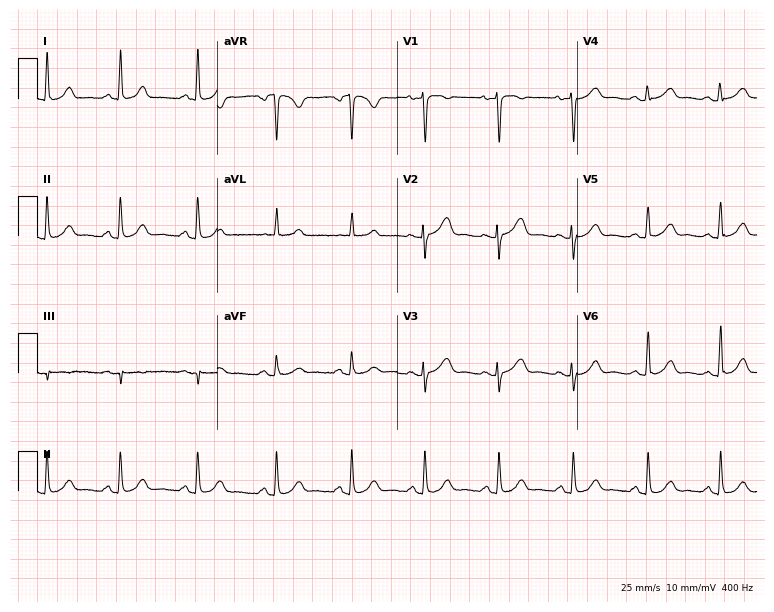
ECG — a 43-year-old female. Labelled as a normal ECG.